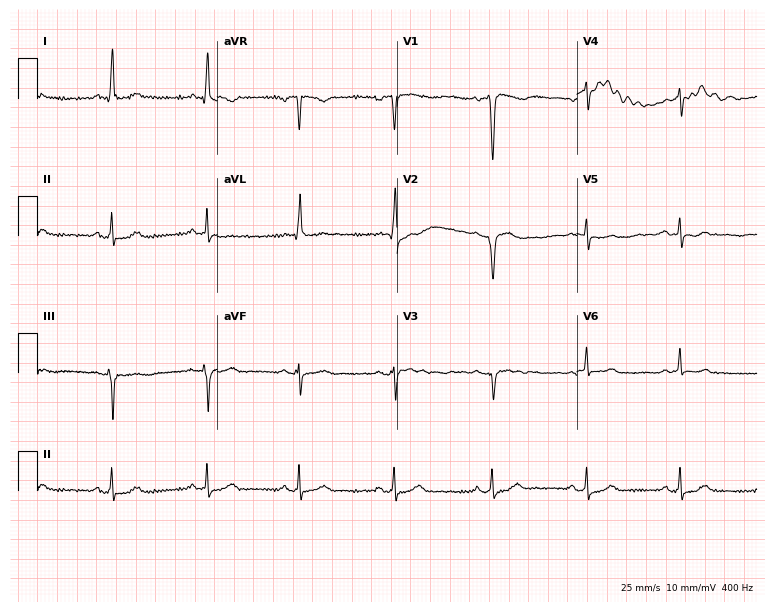
12-lead ECG (7.3-second recording at 400 Hz) from a 39-year-old man. Screened for six findings — first-degree AV block, right bundle branch block, left bundle branch block, sinus bradycardia, atrial fibrillation, sinus tachycardia — none is recorded.